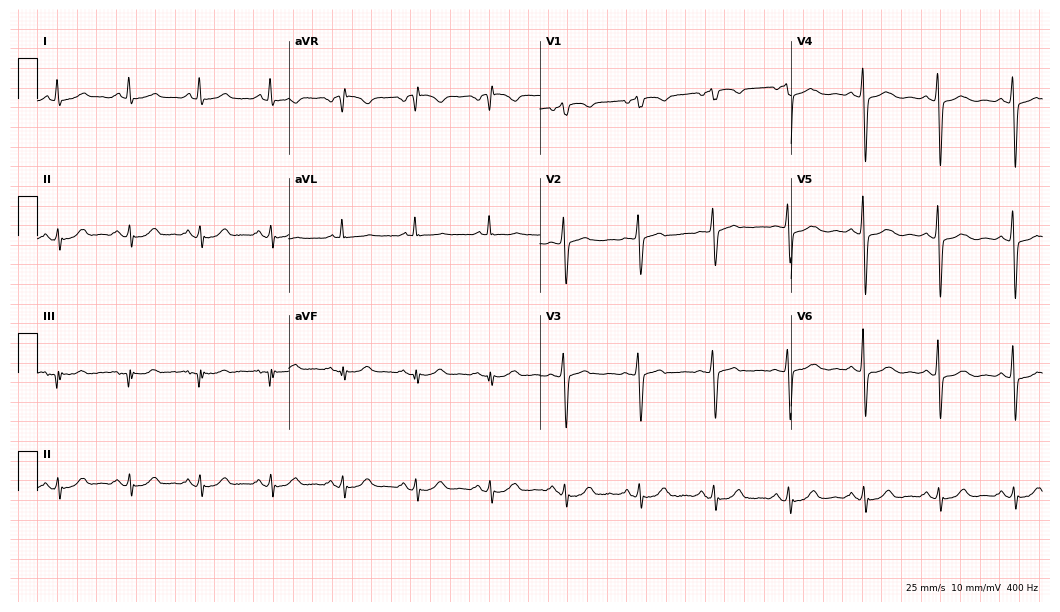
Resting 12-lead electrocardiogram (10.2-second recording at 400 Hz). Patient: a 62-year-old female. None of these six findings is recorded: first-degree AV block, right bundle branch block (RBBB), left bundle branch block (LBBB), sinus bradycardia, atrial fibrillation (AF), sinus tachycardia. Findings outside these six are not listed.